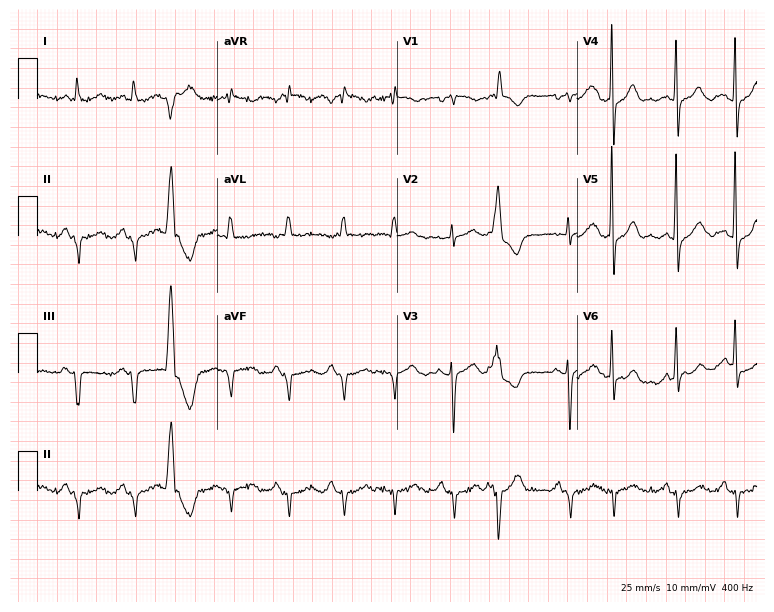
Resting 12-lead electrocardiogram (7.3-second recording at 400 Hz). Patient: a male, 85 years old. None of these six findings is recorded: first-degree AV block, right bundle branch block, left bundle branch block, sinus bradycardia, atrial fibrillation, sinus tachycardia. Findings outside these six are not listed.